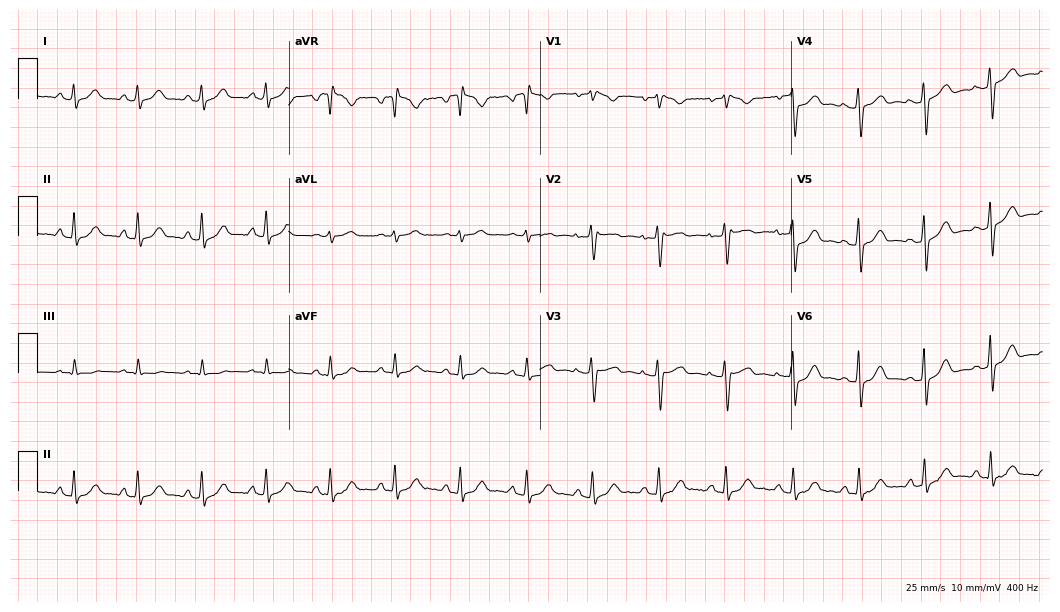
12-lead ECG from a 52-year-old female (10.2-second recording at 400 Hz). Recorded interpretation: within normal limits.